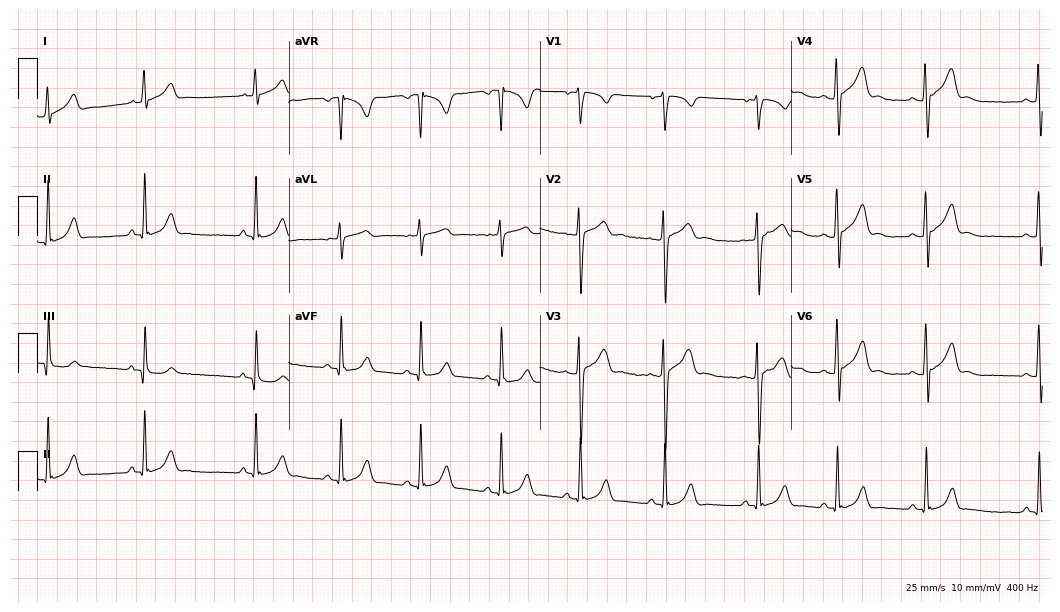
12-lead ECG from a male patient, 17 years old (10.2-second recording at 400 Hz). Recorded interpretation: within normal limits.